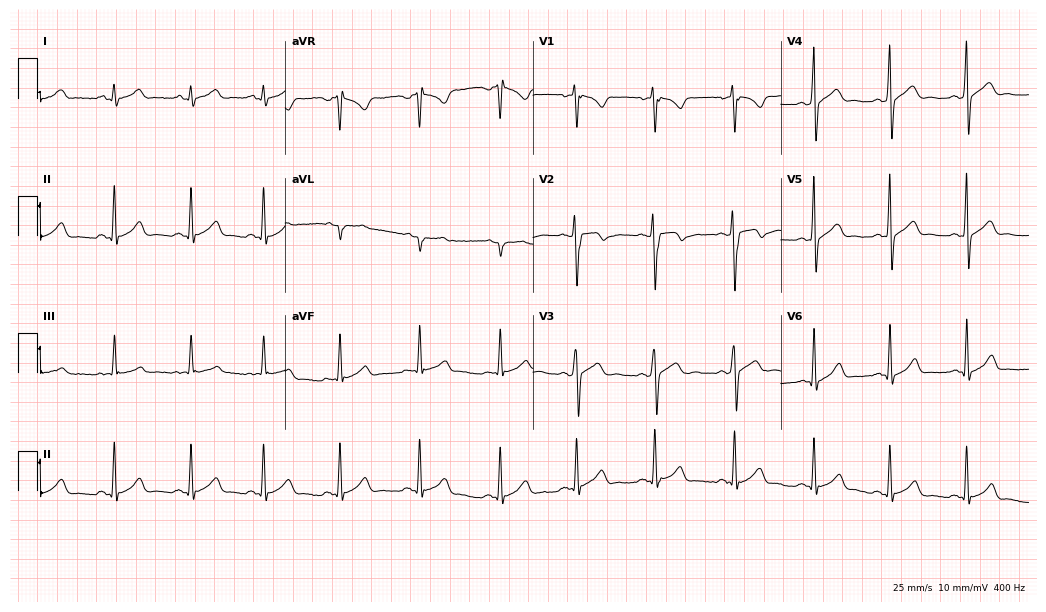
Electrocardiogram (10.1-second recording at 400 Hz), a man, 17 years old. Overall reading on record: normal ECG.